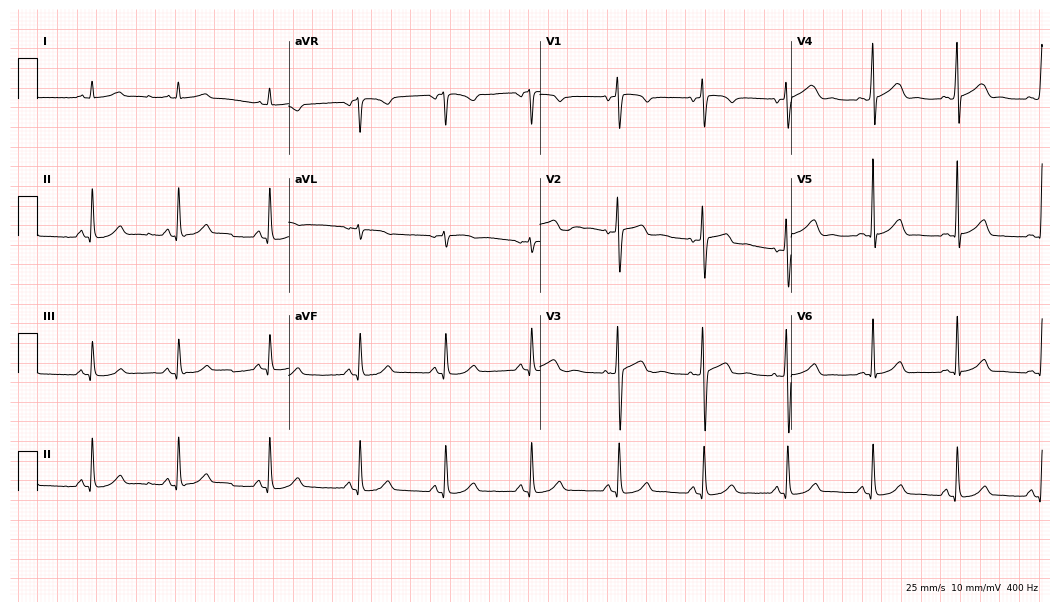
12-lead ECG from a 57-year-old female. Labelled as a normal ECG.